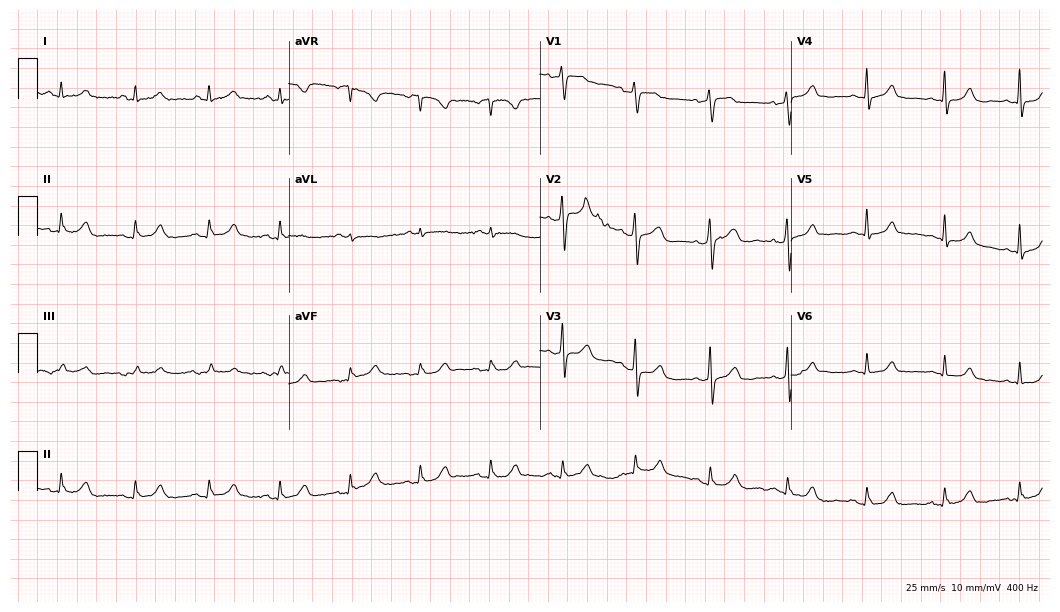
Standard 12-lead ECG recorded from a woman, 58 years old (10.2-second recording at 400 Hz). None of these six findings is recorded: first-degree AV block, right bundle branch block, left bundle branch block, sinus bradycardia, atrial fibrillation, sinus tachycardia. Findings outside these six are not listed.